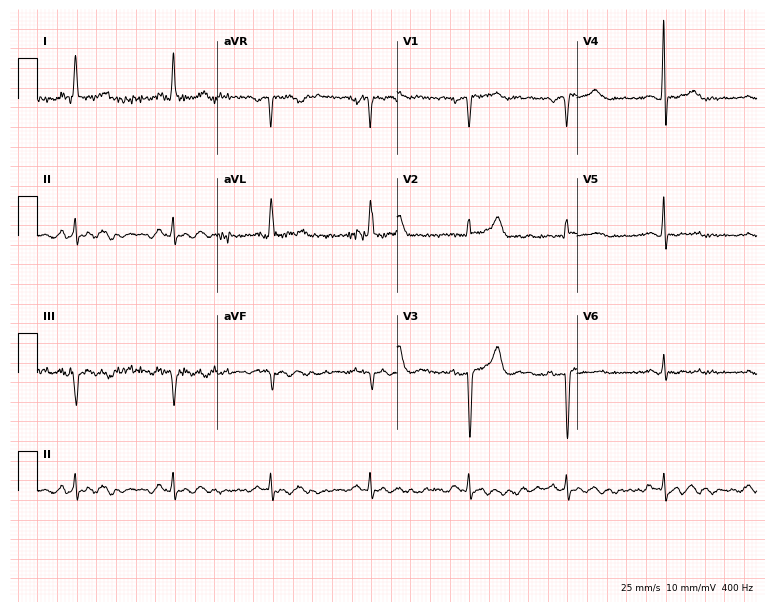
Standard 12-lead ECG recorded from an 85-year-old male patient. None of these six findings is recorded: first-degree AV block, right bundle branch block, left bundle branch block, sinus bradycardia, atrial fibrillation, sinus tachycardia. Other findings, if any, are not listed.